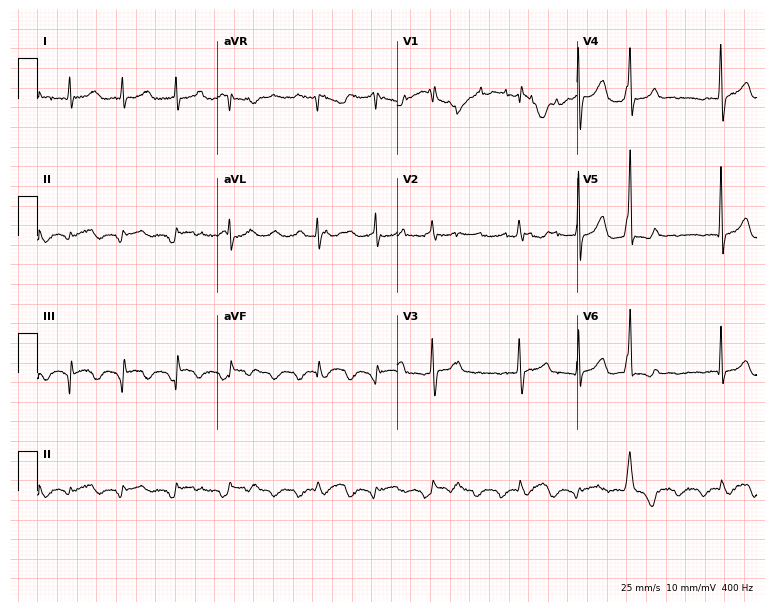
Electrocardiogram (7.3-second recording at 400 Hz), a 46-year-old male. Of the six screened findings (first-degree AV block, right bundle branch block (RBBB), left bundle branch block (LBBB), sinus bradycardia, atrial fibrillation (AF), sinus tachycardia), none is recorded.